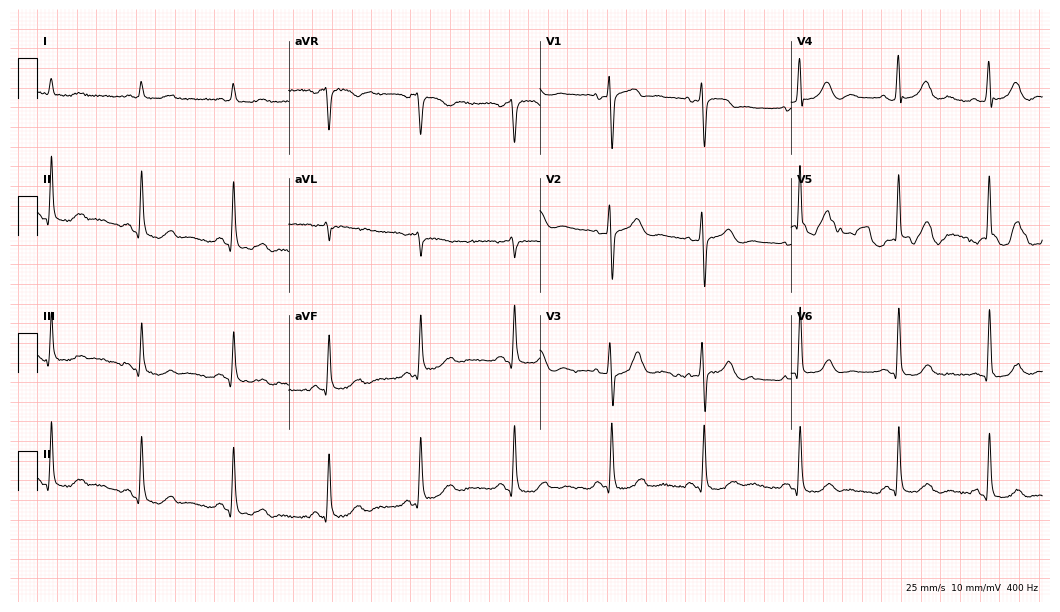
Resting 12-lead electrocardiogram. Patient: a 76-year-old male. None of these six findings is recorded: first-degree AV block, right bundle branch block, left bundle branch block, sinus bradycardia, atrial fibrillation, sinus tachycardia.